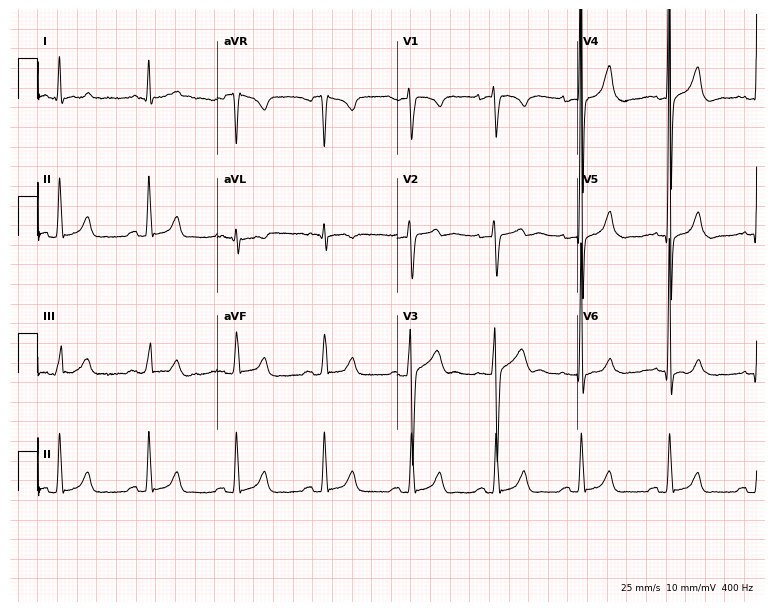
ECG (7.3-second recording at 400 Hz) — a 34-year-old man. Screened for six findings — first-degree AV block, right bundle branch block, left bundle branch block, sinus bradycardia, atrial fibrillation, sinus tachycardia — none is recorded. Findings outside these six are not listed.